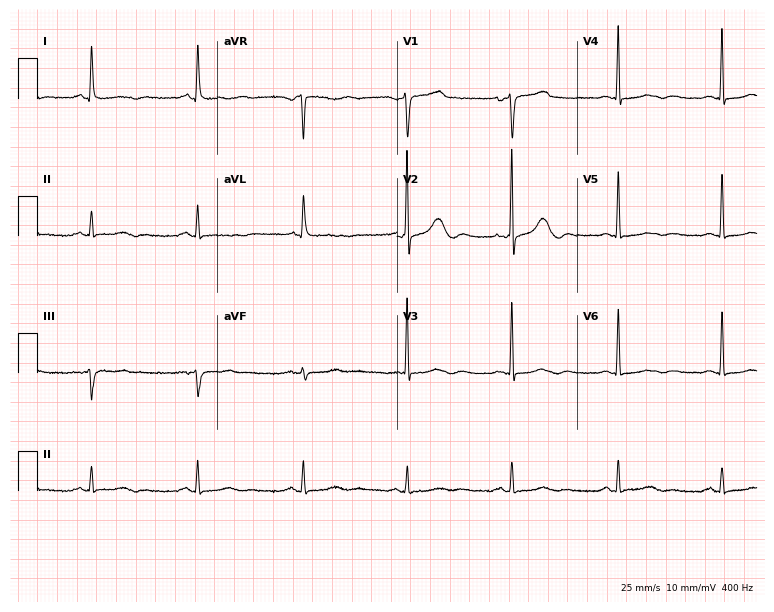
ECG — a 75-year-old woman. Screened for six findings — first-degree AV block, right bundle branch block (RBBB), left bundle branch block (LBBB), sinus bradycardia, atrial fibrillation (AF), sinus tachycardia — none is recorded. Other findings, if any, are not listed.